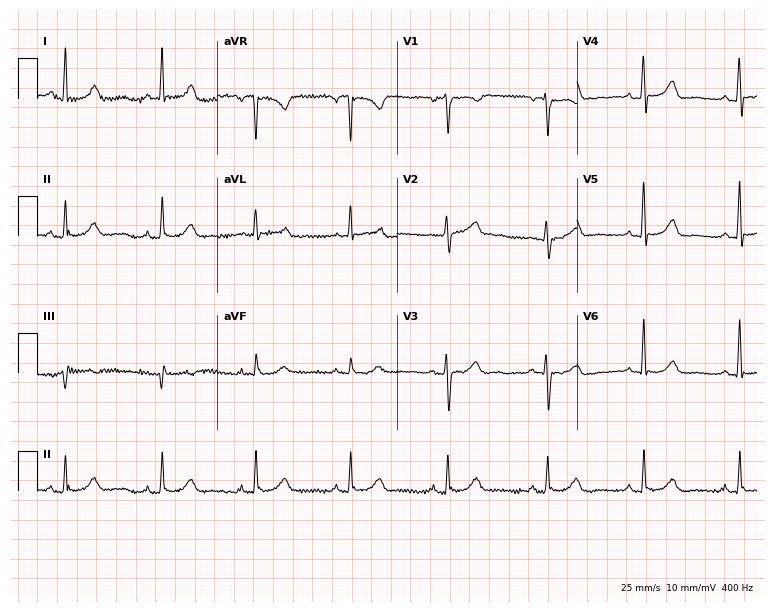
Electrocardiogram, a 58-year-old female patient. Overall reading on record: normal ECG.